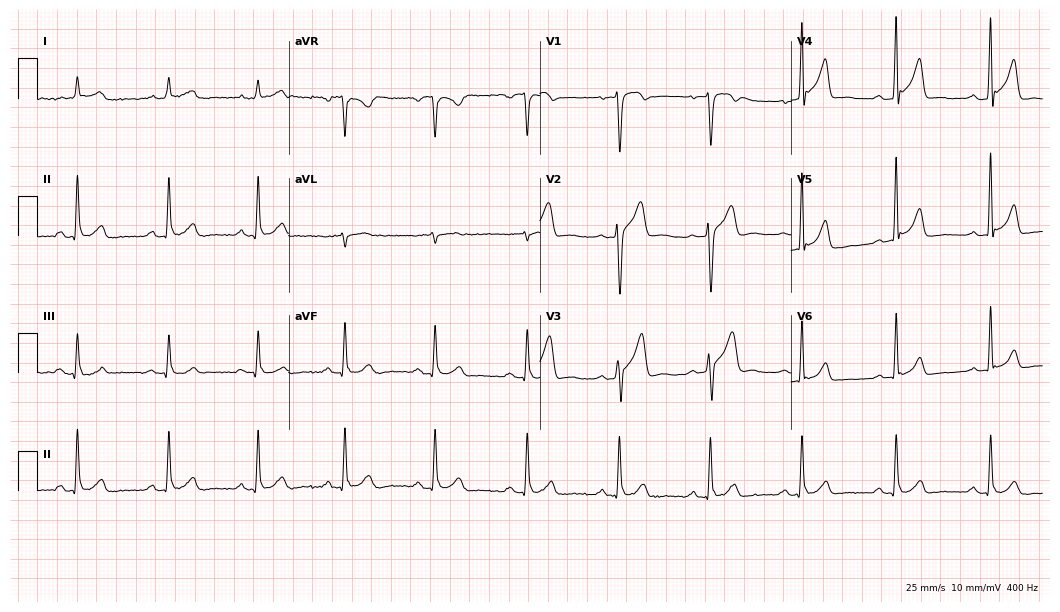
Standard 12-lead ECG recorded from a male patient, 59 years old (10.2-second recording at 400 Hz). Read as a normal ECG.